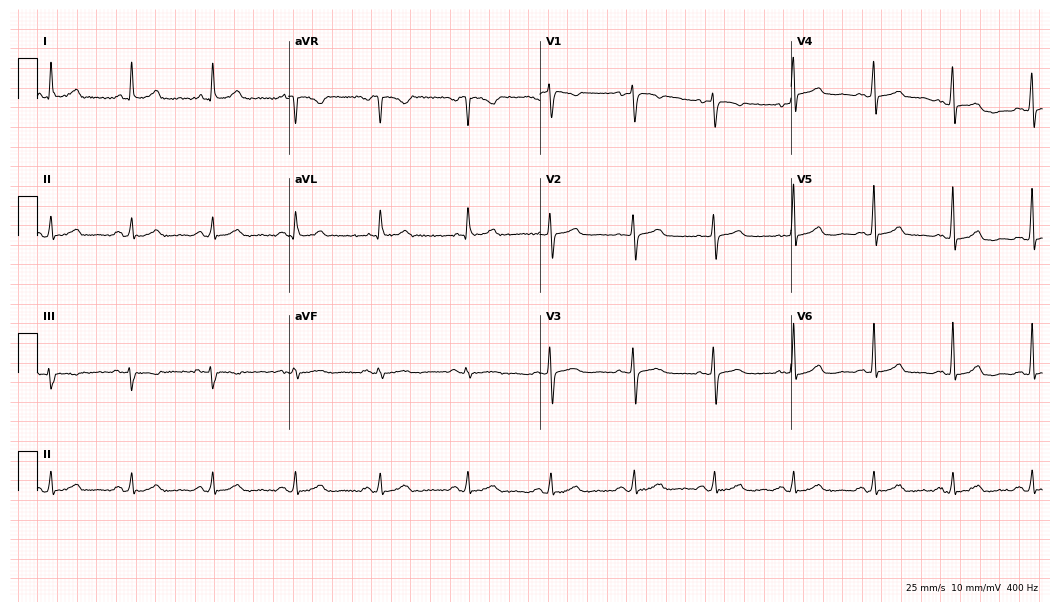
12-lead ECG from a 74-year-old female (10.2-second recording at 400 Hz). Recorded interpretation: within normal limits.